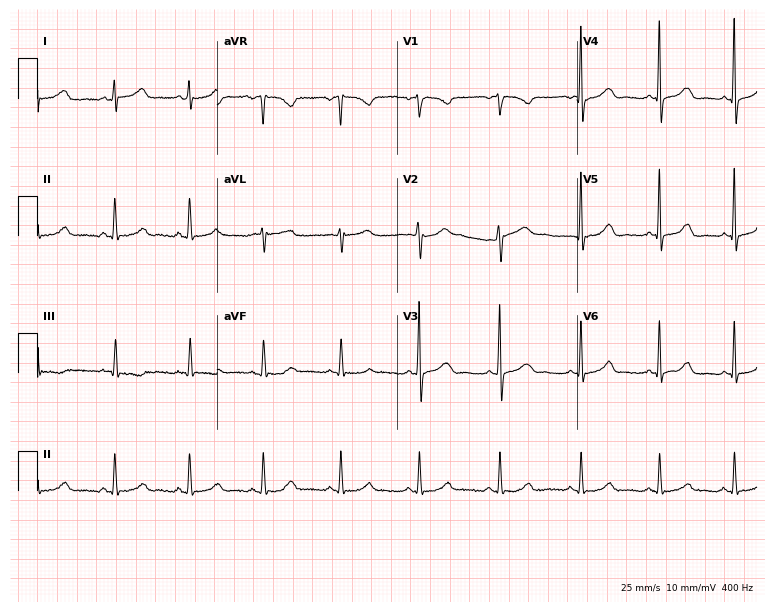
ECG (7.3-second recording at 400 Hz) — a female, 49 years old. Labelled as a normal ECG.